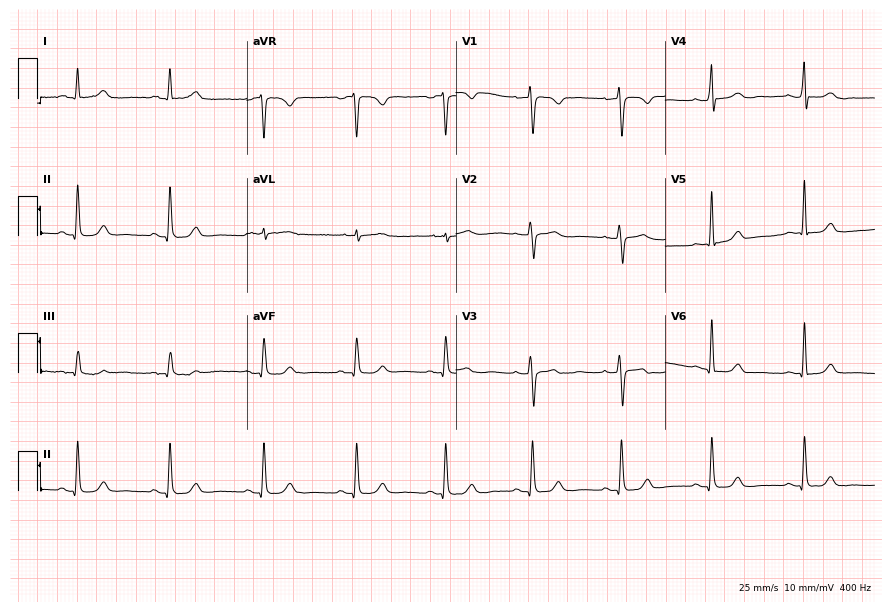
12-lead ECG from a 35-year-old female patient. Labelled as a normal ECG.